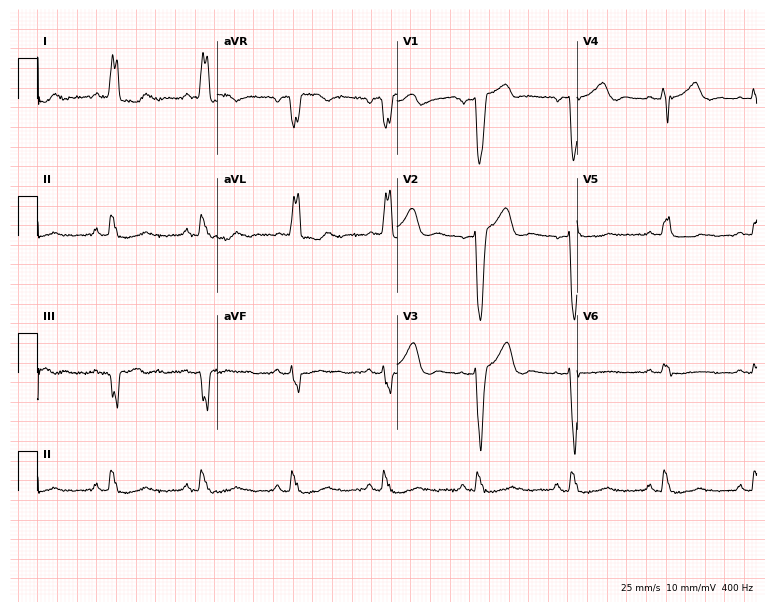
ECG (7.3-second recording at 400 Hz) — a female patient, 76 years old. Findings include left bundle branch block (LBBB).